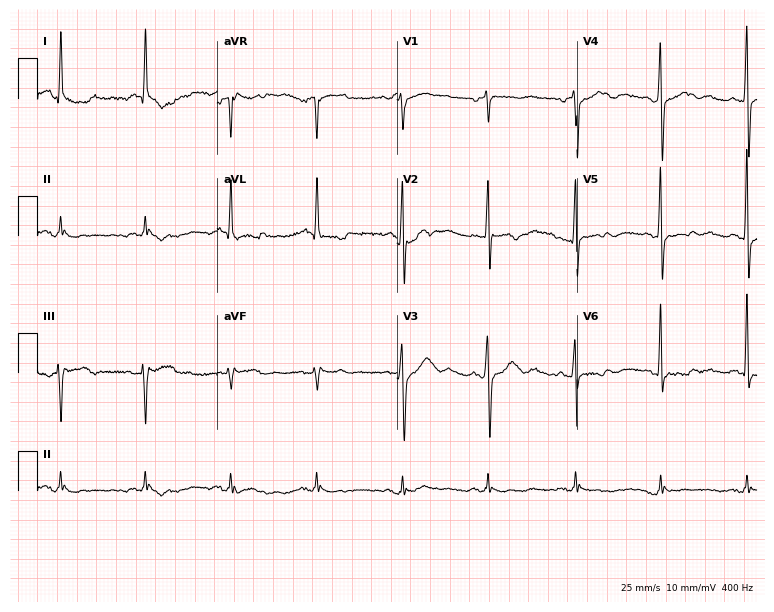
Electrocardiogram, a male patient, 74 years old. Overall reading on record: normal ECG.